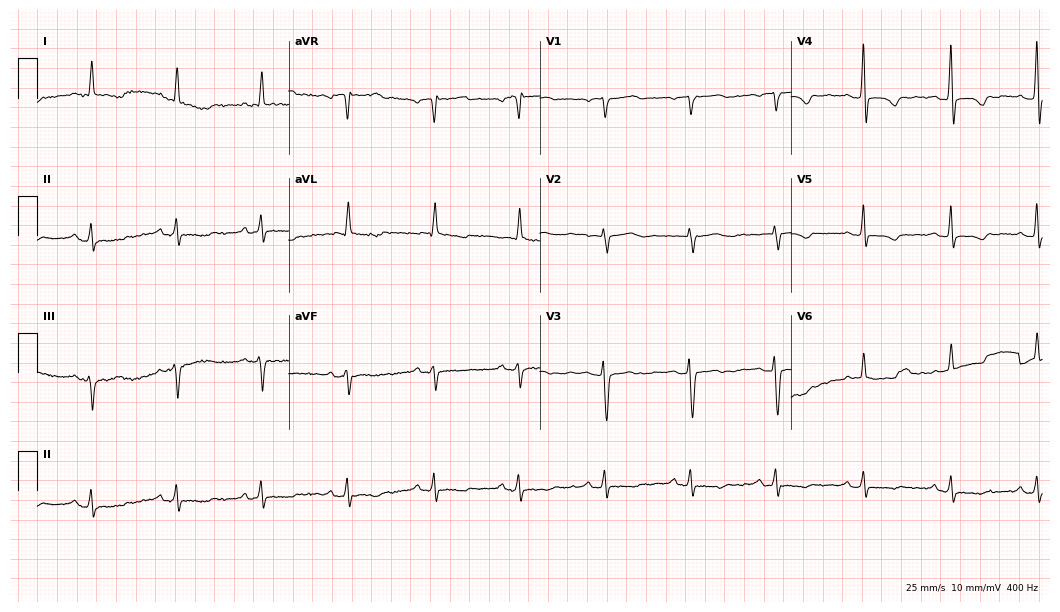
ECG (10.2-second recording at 400 Hz) — a 74-year-old woman. Screened for six findings — first-degree AV block, right bundle branch block, left bundle branch block, sinus bradycardia, atrial fibrillation, sinus tachycardia — none is recorded. Other findings, if any, are not listed.